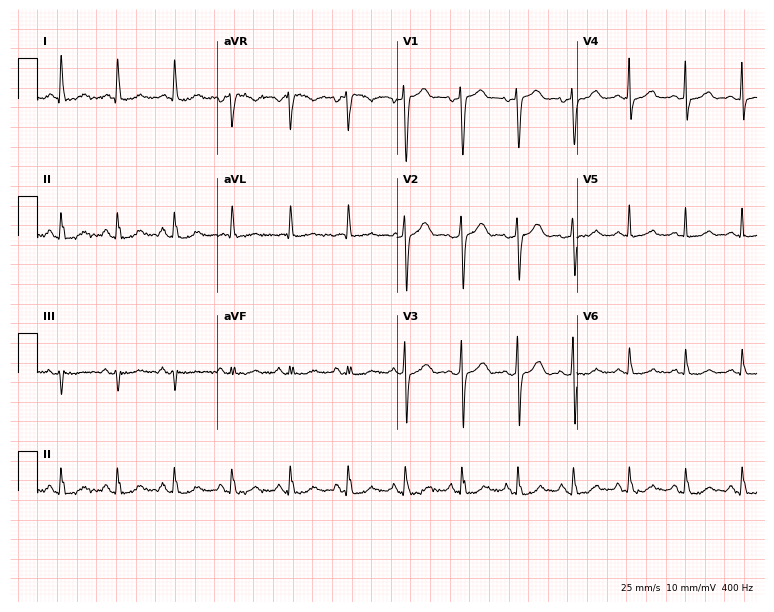
12-lead ECG (7.3-second recording at 400 Hz) from a female patient, 43 years old. Findings include sinus tachycardia (a sinus rate of 100 beats per minute or more).